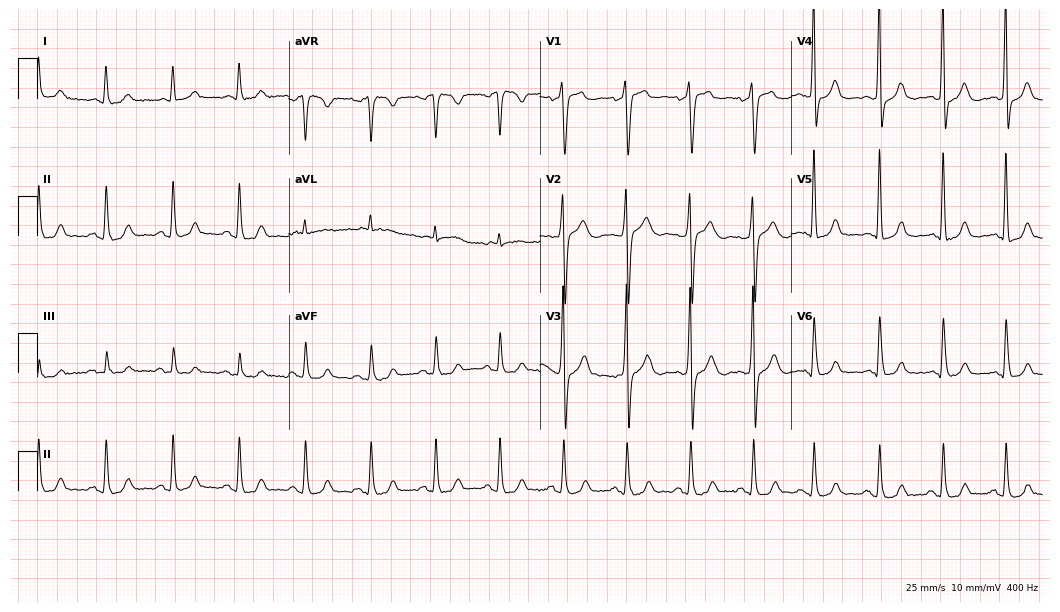
Resting 12-lead electrocardiogram. Patient: a man, 76 years old. None of these six findings is recorded: first-degree AV block, right bundle branch block, left bundle branch block, sinus bradycardia, atrial fibrillation, sinus tachycardia. Findings outside these six are not listed.